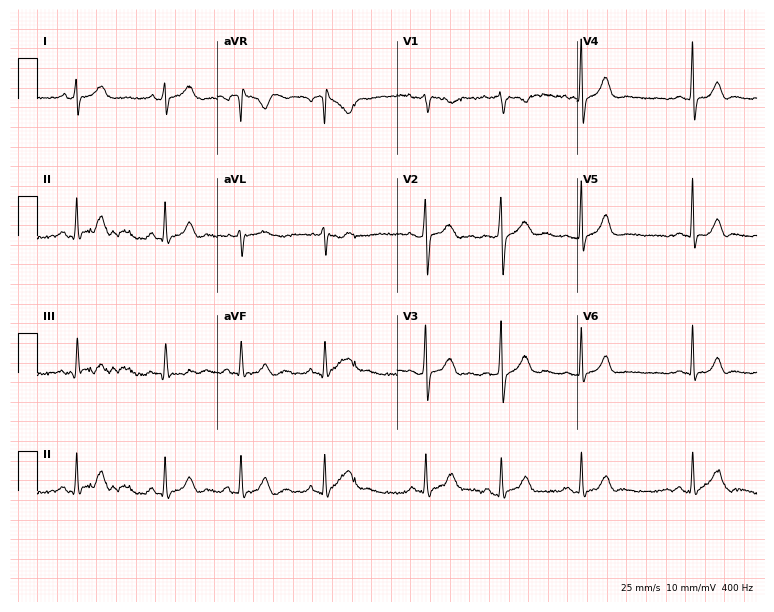
ECG (7.3-second recording at 400 Hz) — a female, 23 years old. Labelled as a normal ECG.